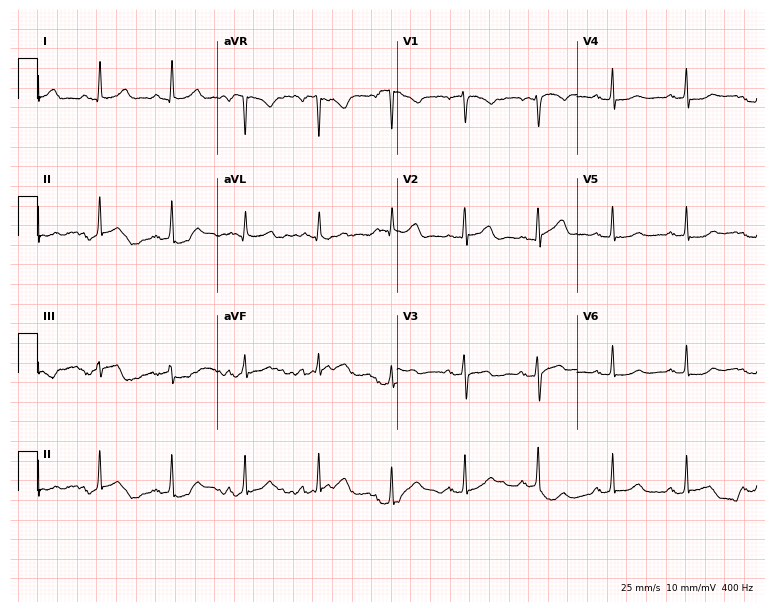
12-lead ECG (7.3-second recording at 400 Hz) from a woman, 56 years old. Screened for six findings — first-degree AV block, right bundle branch block, left bundle branch block, sinus bradycardia, atrial fibrillation, sinus tachycardia — none is recorded. Other findings, if any, are not listed.